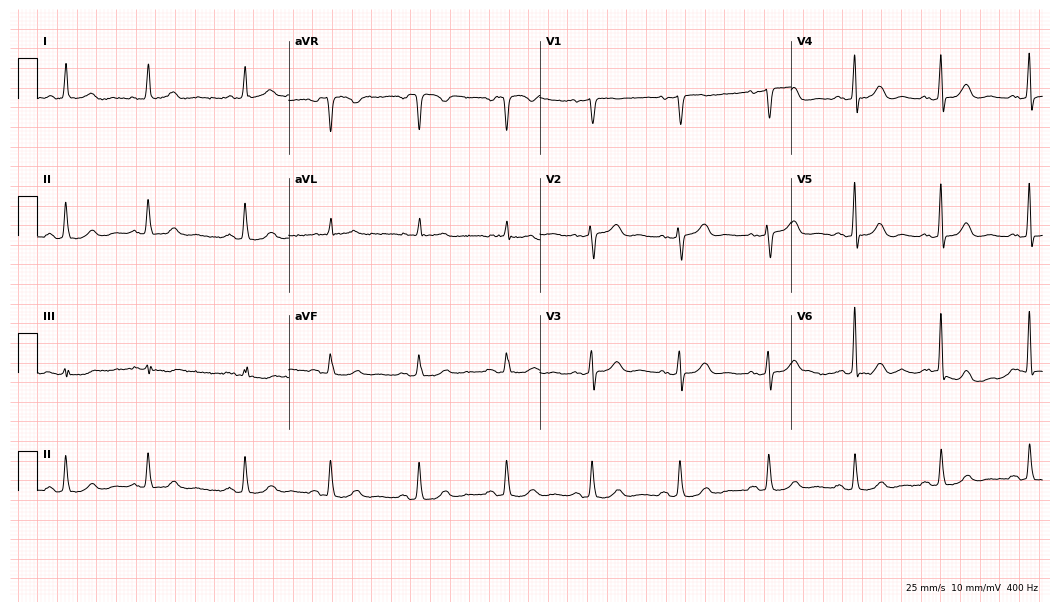
Resting 12-lead electrocardiogram (10.2-second recording at 400 Hz). Patient: an 82-year-old woman. Read as a normal ECG.